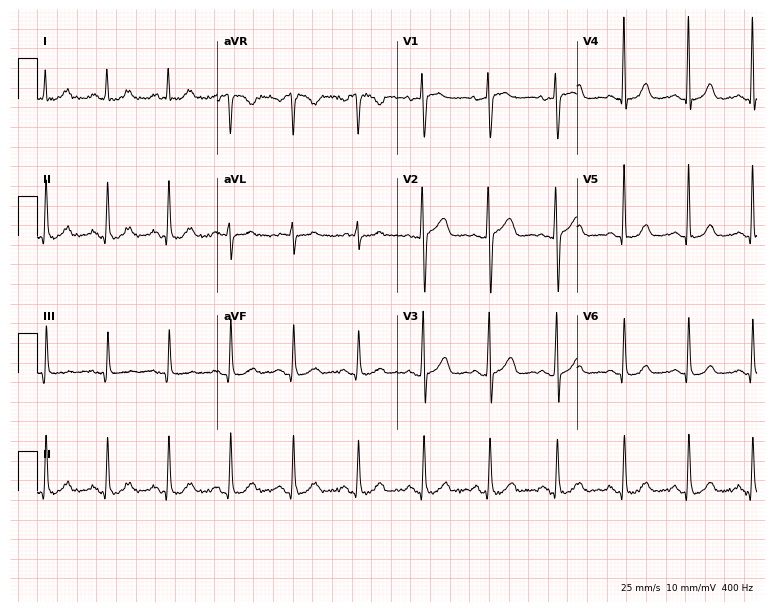
Resting 12-lead electrocardiogram. Patient: a 46-year-old female. Read as a normal ECG.